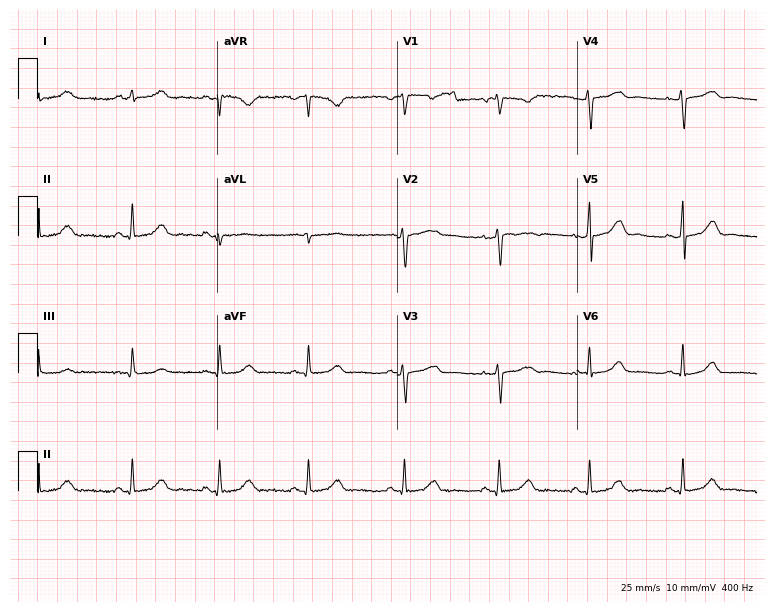
Resting 12-lead electrocardiogram (7.3-second recording at 400 Hz). Patient: a female, 50 years old. None of these six findings is recorded: first-degree AV block, right bundle branch block (RBBB), left bundle branch block (LBBB), sinus bradycardia, atrial fibrillation (AF), sinus tachycardia.